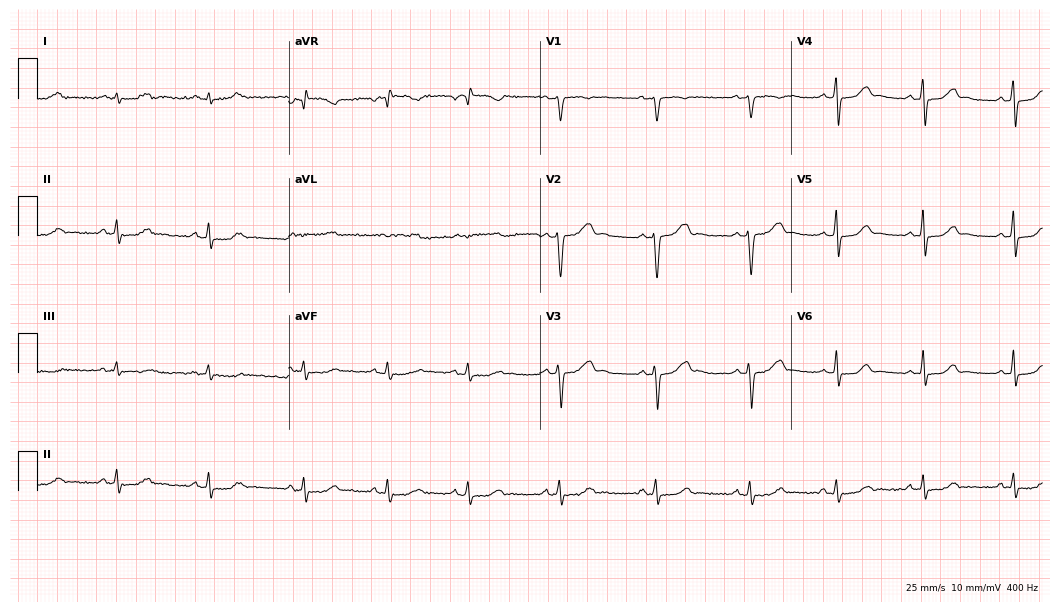
12-lead ECG from a female, 31 years old (10.2-second recording at 400 Hz). Recorded interpretation: within normal limits.